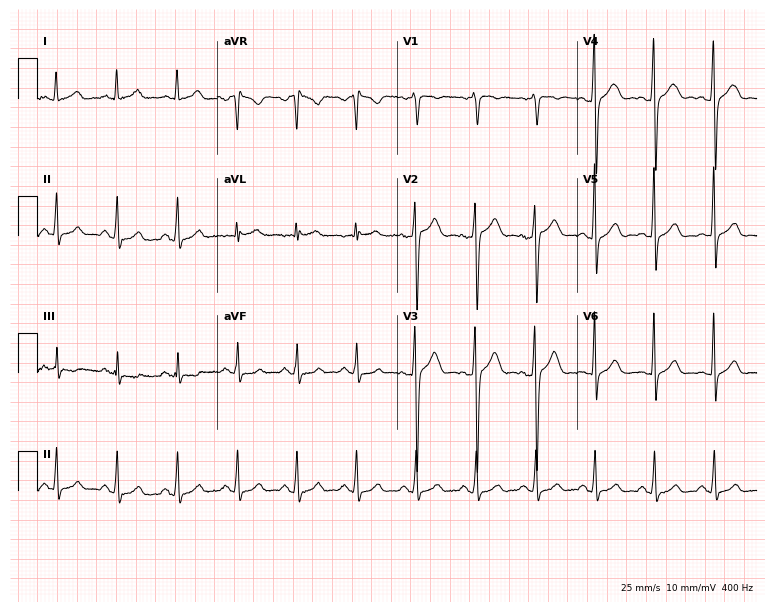
Standard 12-lead ECG recorded from a man, 33 years old (7.3-second recording at 400 Hz). None of these six findings is recorded: first-degree AV block, right bundle branch block, left bundle branch block, sinus bradycardia, atrial fibrillation, sinus tachycardia. Findings outside these six are not listed.